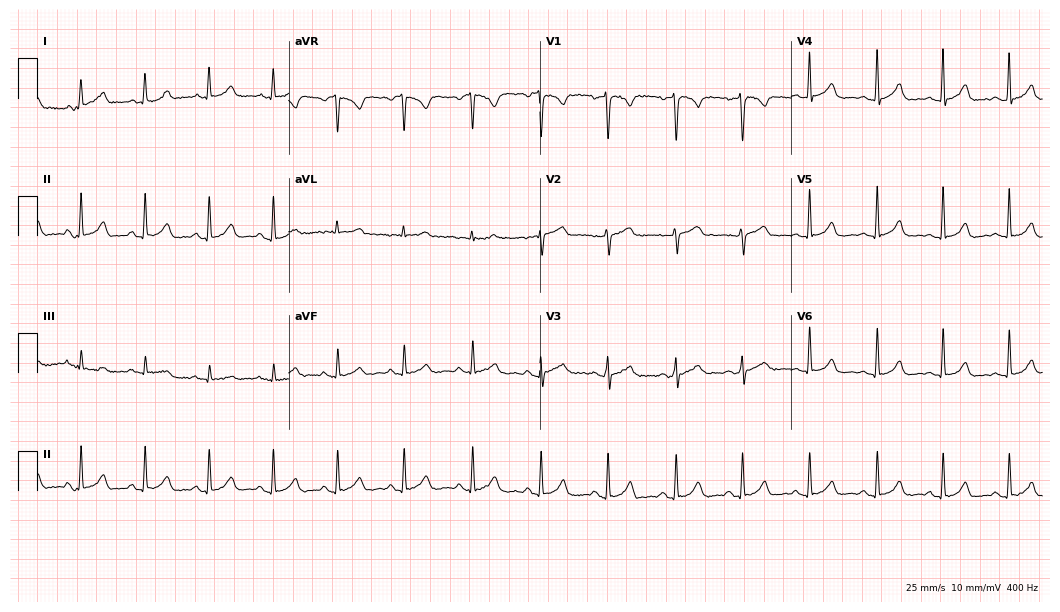
Electrocardiogram (10.2-second recording at 400 Hz), a 26-year-old female. Overall reading on record: normal ECG.